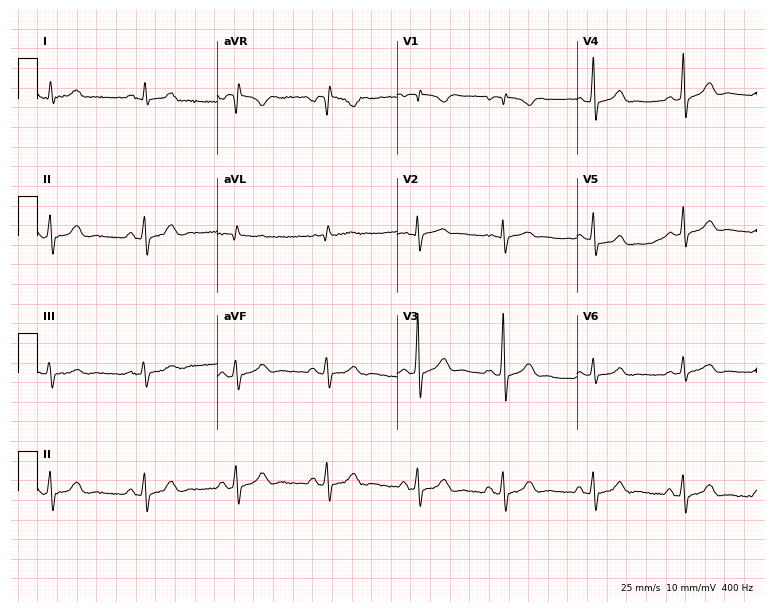
12-lead ECG from a female, 33 years old. No first-degree AV block, right bundle branch block, left bundle branch block, sinus bradycardia, atrial fibrillation or sinus tachycardia recorded for this tracing. Findings outside these six are not listed.